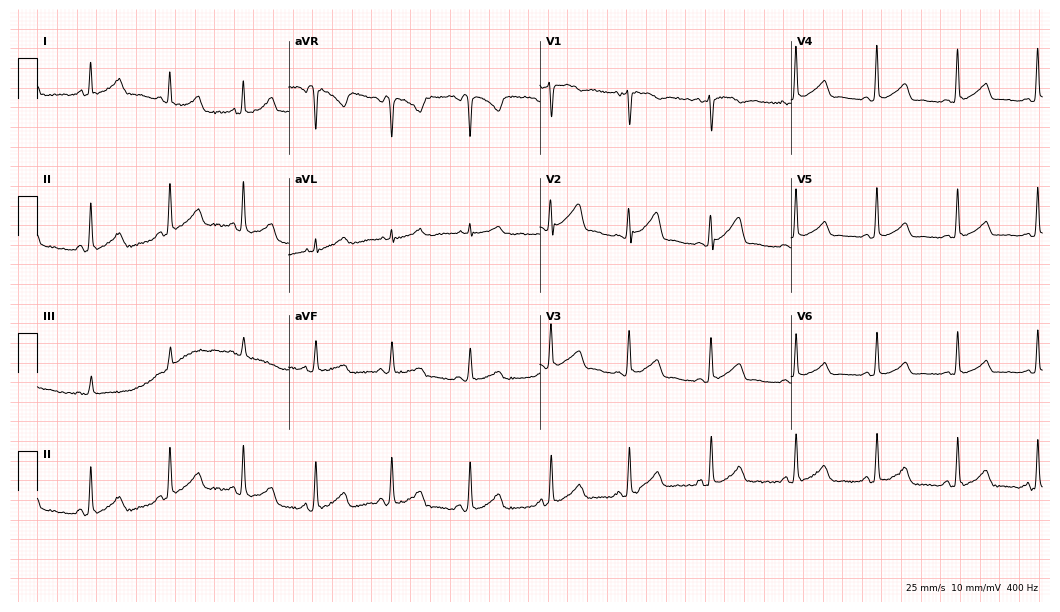
12-lead ECG (10.2-second recording at 400 Hz) from a female, 21 years old. Labelled as a normal ECG.